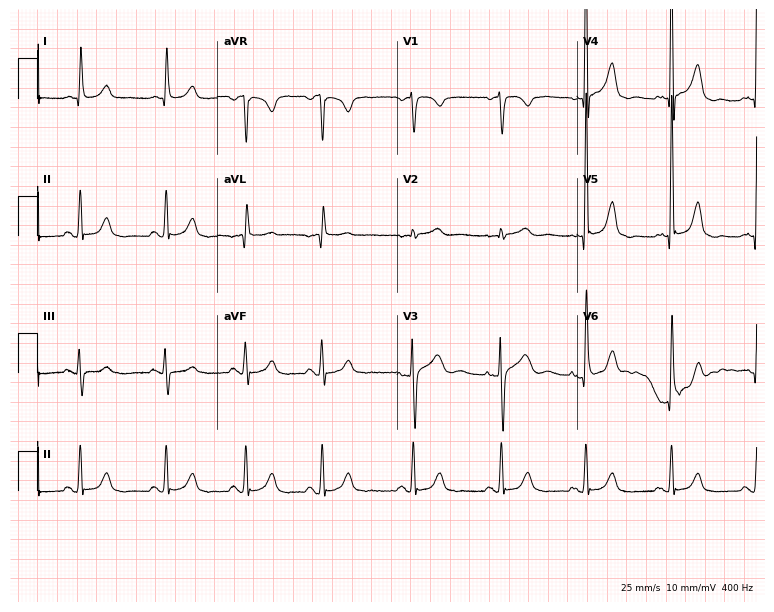
ECG (7.3-second recording at 400 Hz) — a female, 75 years old. Screened for six findings — first-degree AV block, right bundle branch block, left bundle branch block, sinus bradycardia, atrial fibrillation, sinus tachycardia — none is recorded. Findings outside these six are not listed.